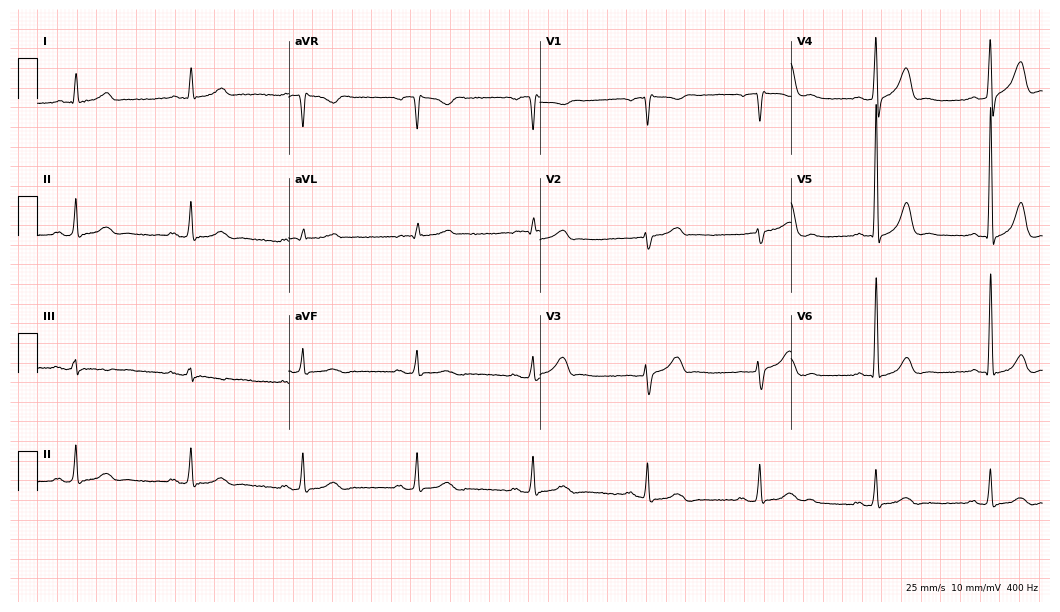
12-lead ECG from a 62-year-old male patient (10.2-second recording at 400 Hz). No first-degree AV block, right bundle branch block, left bundle branch block, sinus bradycardia, atrial fibrillation or sinus tachycardia recorded for this tracing. Findings outside these six are not listed.